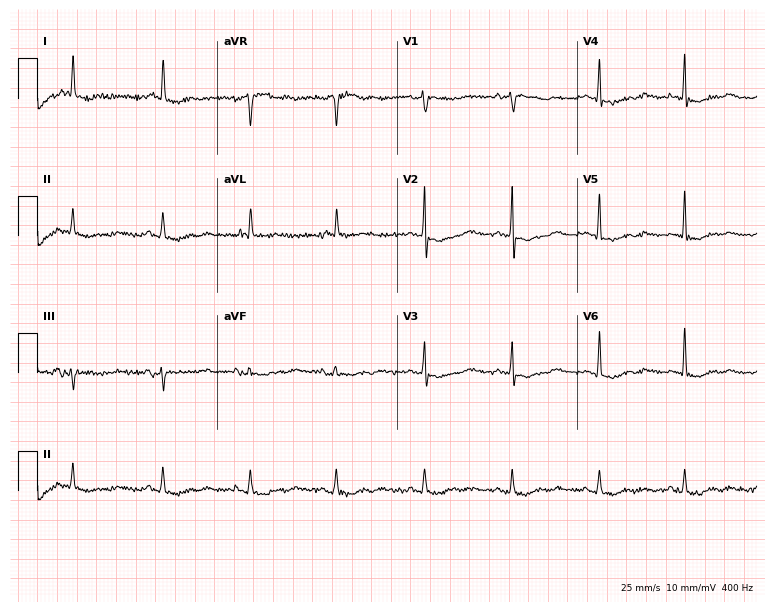
Standard 12-lead ECG recorded from a 79-year-old woman (7.3-second recording at 400 Hz). None of these six findings is recorded: first-degree AV block, right bundle branch block (RBBB), left bundle branch block (LBBB), sinus bradycardia, atrial fibrillation (AF), sinus tachycardia. Findings outside these six are not listed.